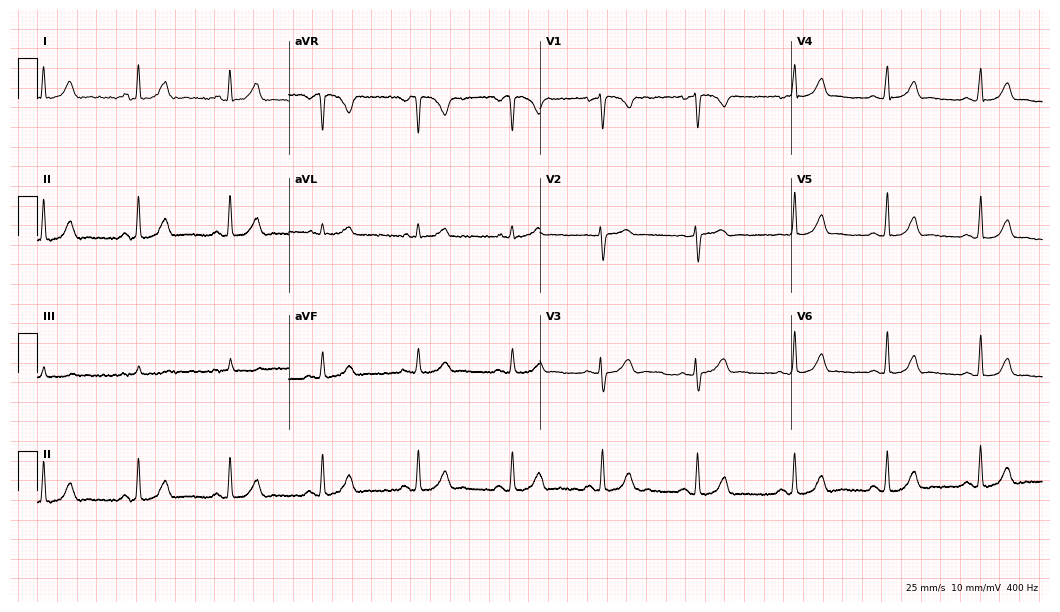
Standard 12-lead ECG recorded from a 34-year-old woman. Read as a normal ECG.